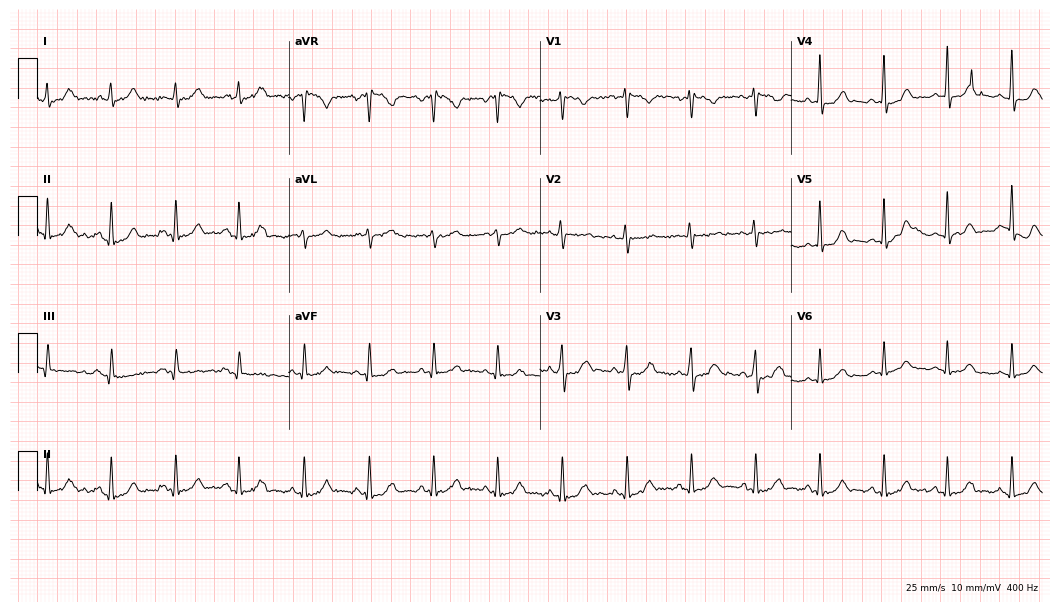
Electrocardiogram (10.2-second recording at 400 Hz), a female patient, 31 years old. Of the six screened findings (first-degree AV block, right bundle branch block, left bundle branch block, sinus bradycardia, atrial fibrillation, sinus tachycardia), none is recorded.